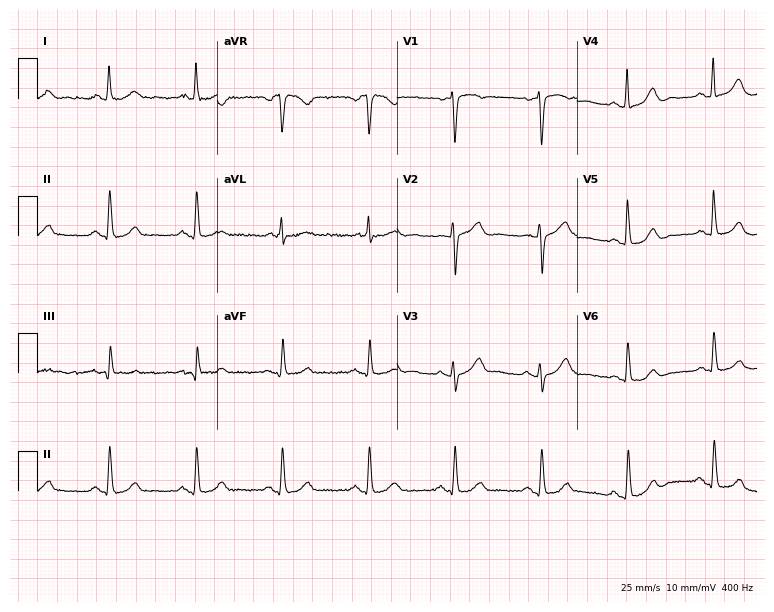
ECG (7.3-second recording at 400 Hz) — an 82-year-old female patient. Labelled as a normal ECG.